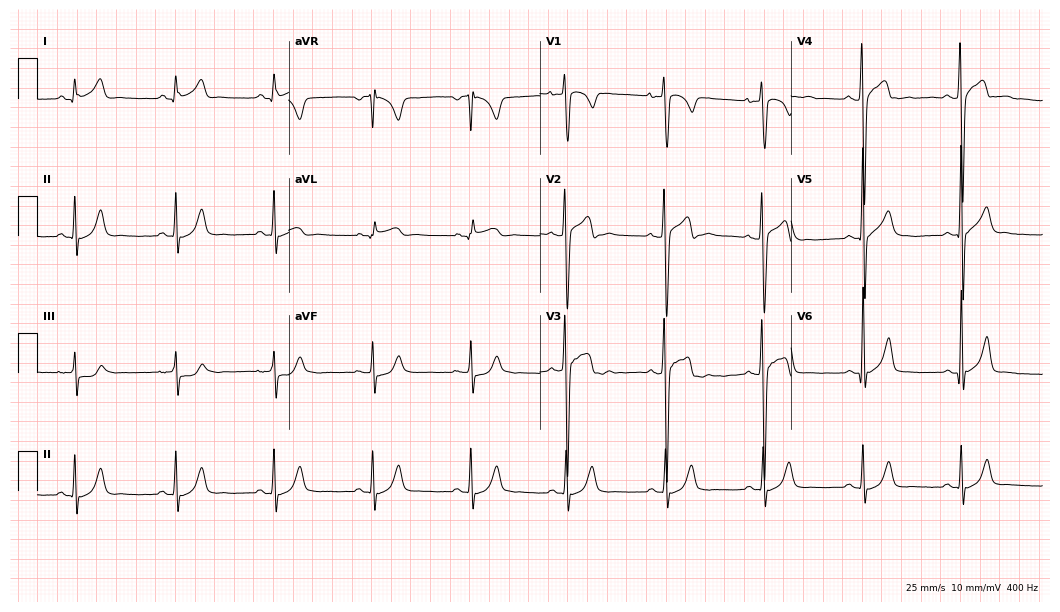
Standard 12-lead ECG recorded from a man, 23 years old (10.2-second recording at 400 Hz). None of these six findings is recorded: first-degree AV block, right bundle branch block, left bundle branch block, sinus bradycardia, atrial fibrillation, sinus tachycardia.